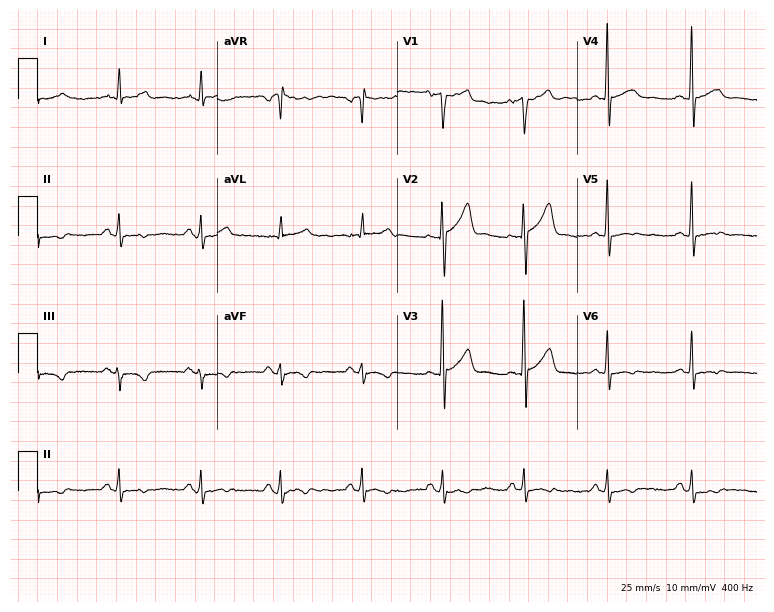
12-lead ECG from a 56-year-old male patient. Screened for six findings — first-degree AV block, right bundle branch block, left bundle branch block, sinus bradycardia, atrial fibrillation, sinus tachycardia — none is recorded. Only these six findings were labelled.